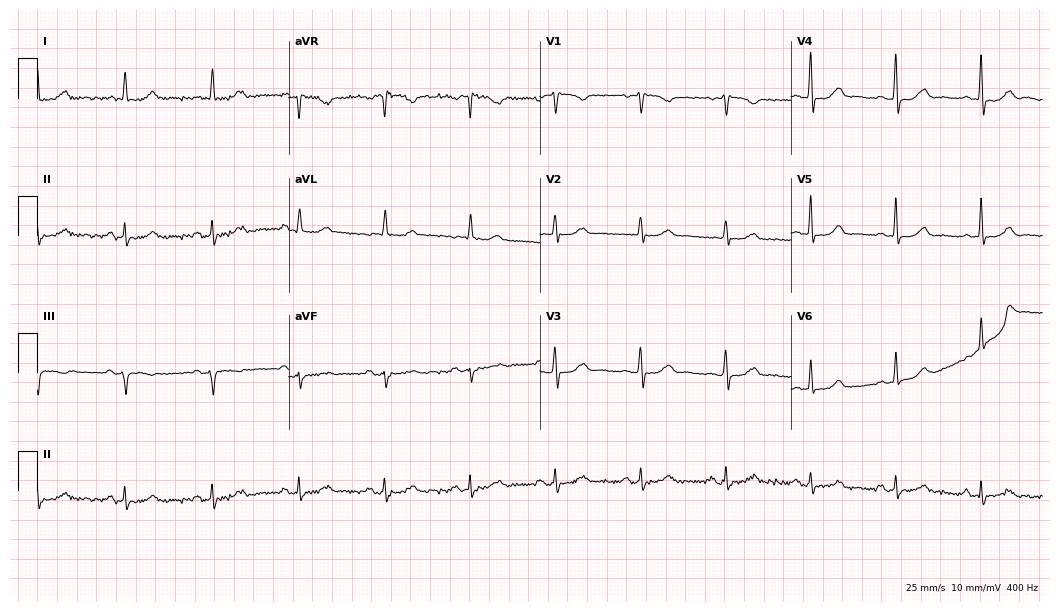
ECG (10.2-second recording at 400 Hz) — a woman, 75 years old. Labelled as a normal ECG.